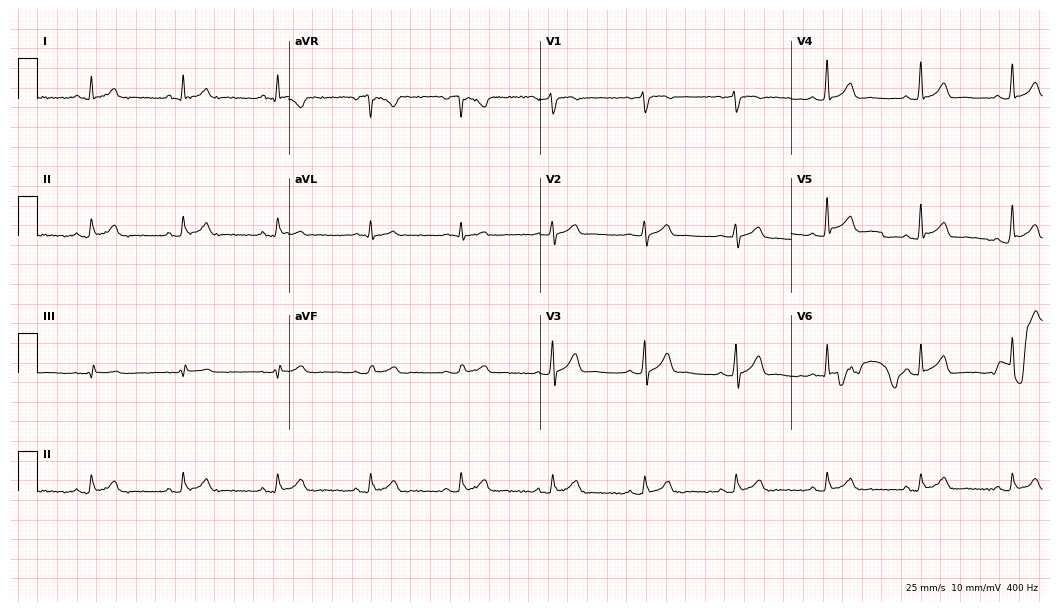
ECG — a 60-year-old man. Screened for six findings — first-degree AV block, right bundle branch block (RBBB), left bundle branch block (LBBB), sinus bradycardia, atrial fibrillation (AF), sinus tachycardia — none is recorded. Only these six findings were labelled.